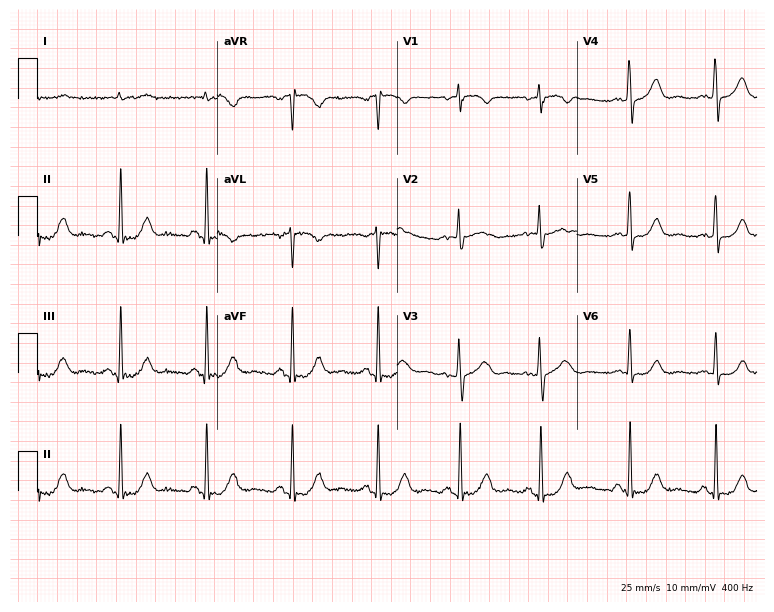
Electrocardiogram, a 75-year-old male patient. Overall reading on record: normal ECG.